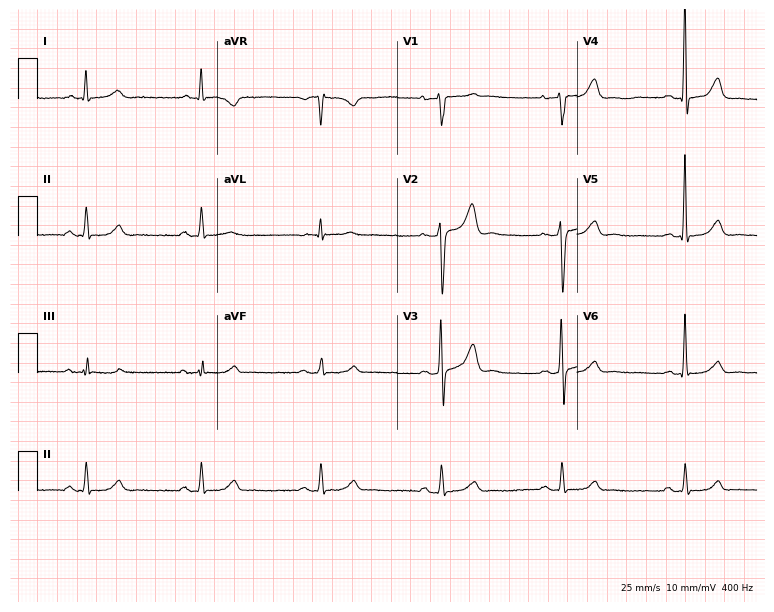
Standard 12-lead ECG recorded from a man, 69 years old (7.3-second recording at 400 Hz). None of these six findings is recorded: first-degree AV block, right bundle branch block, left bundle branch block, sinus bradycardia, atrial fibrillation, sinus tachycardia. Other findings, if any, are not listed.